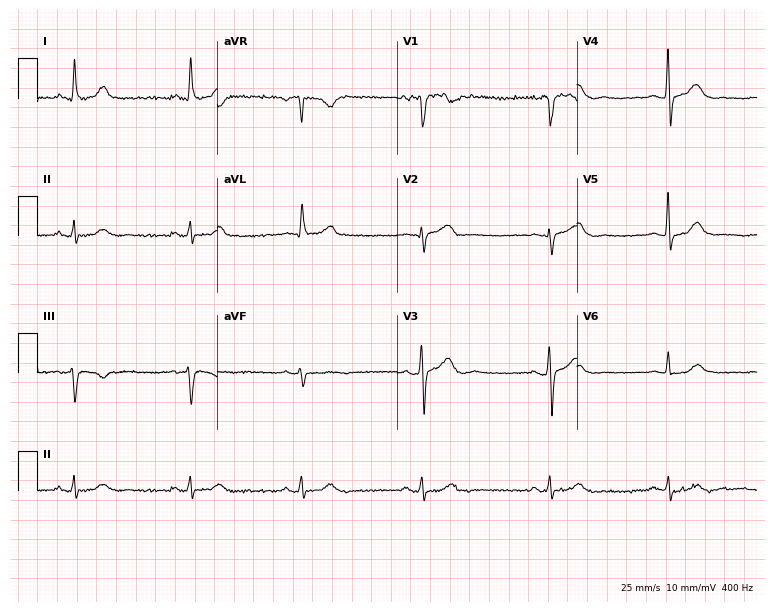
ECG — a man, 51 years old. Labelled as a normal ECG.